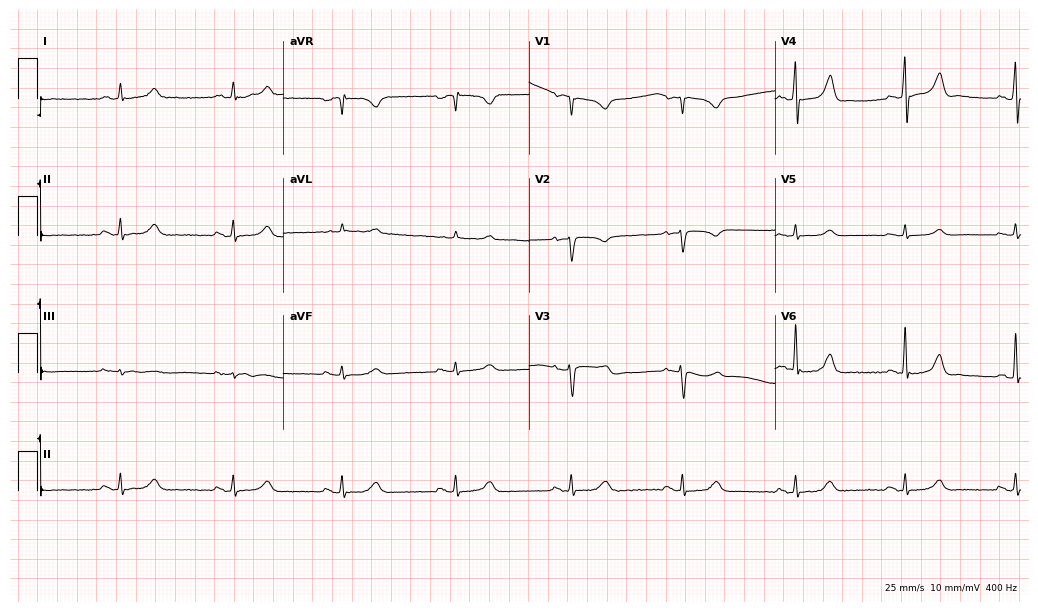
Electrocardiogram, a male, 80 years old. Of the six screened findings (first-degree AV block, right bundle branch block, left bundle branch block, sinus bradycardia, atrial fibrillation, sinus tachycardia), none is recorded. Findings outside these six are not listed.